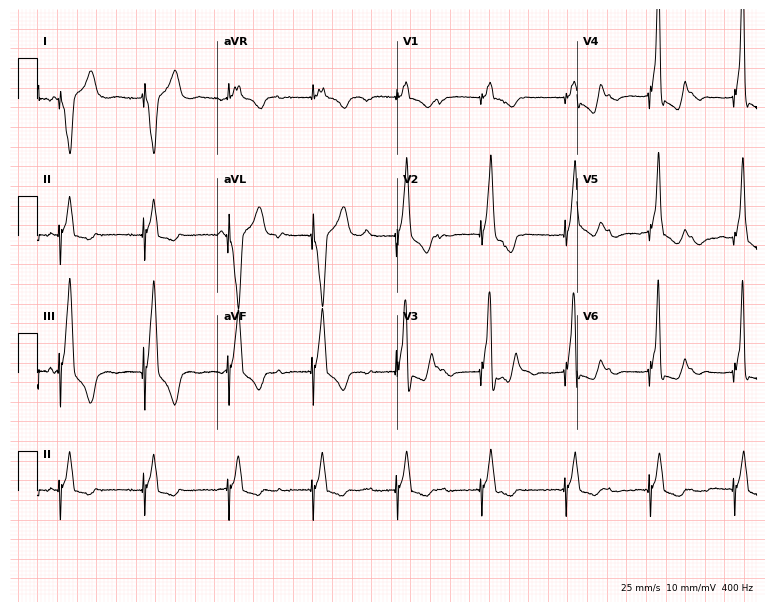
ECG — a man, 84 years old. Screened for six findings — first-degree AV block, right bundle branch block (RBBB), left bundle branch block (LBBB), sinus bradycardia, atrial fibrillation (AF), sinus tachycardia — none is recorded. Findings outside these six are not listed.